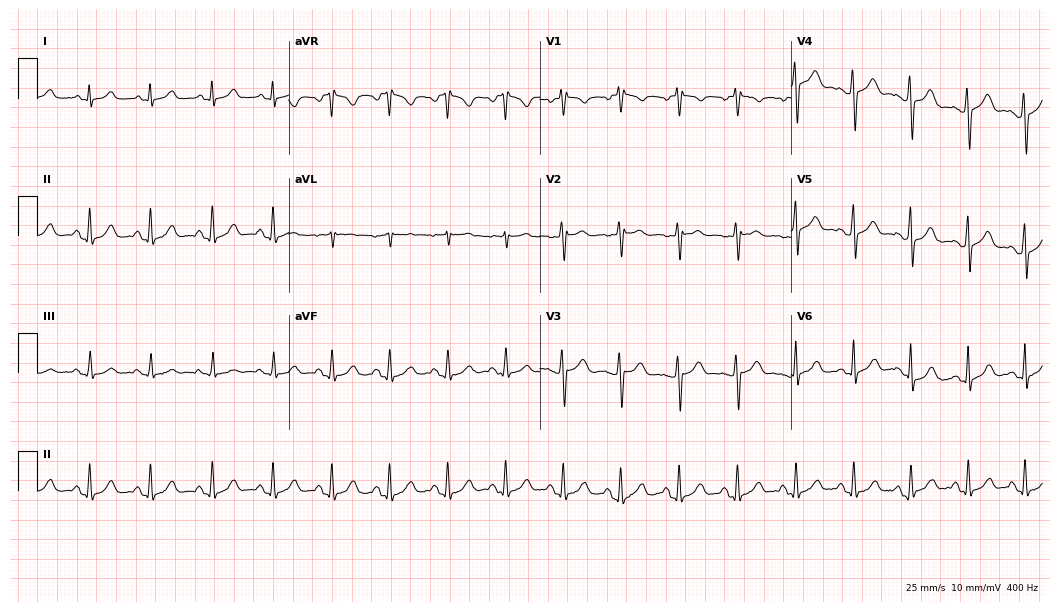
ECG — a 26-year-old woman. Labelled as a normal ECG.